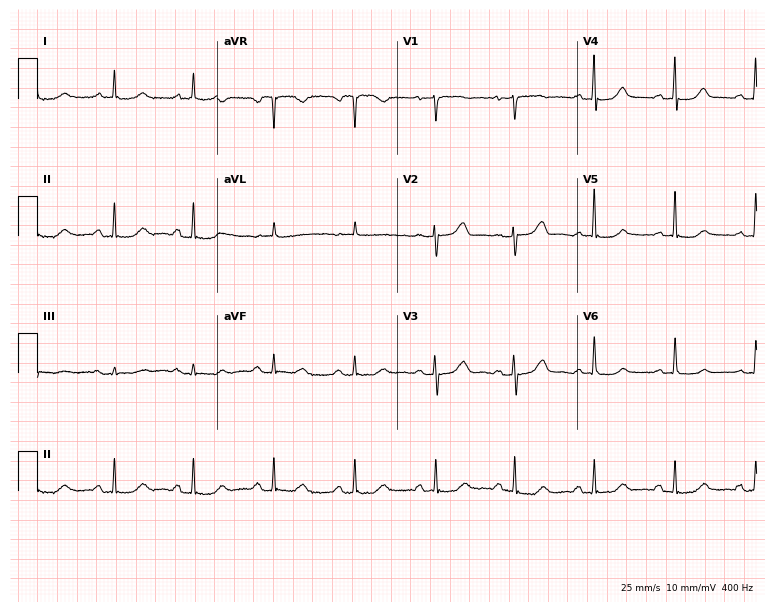
12-lead ECG from a 64-year-old woman. No first-degree AV block, right bundle branch block, left bundle branch block, sinus bradycardia, atrial fibrillation or sinus tachycardia recorded for this tracing. Only these six findings were labelled.